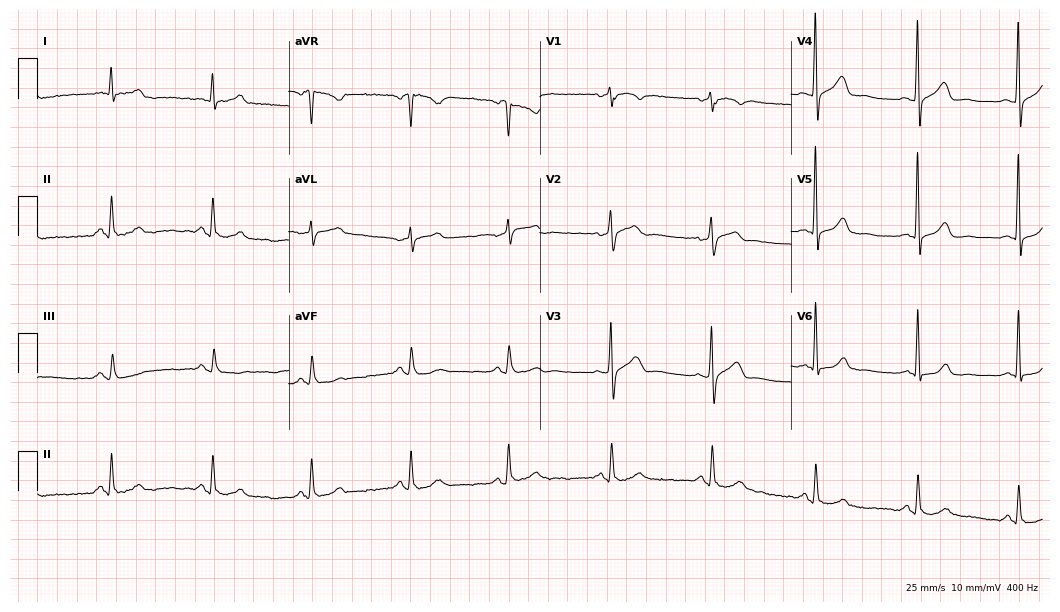
ECG (10.2-second recording at 400 Hz) — a male patient, 57 years old. Screened for six findings — first-degree AV block, right bundle branch block (RBBB), left bundle branch block (LBBB), sinus bradycardia, atrial fibrillation (AF), sinus tachycardia — none is recorded.